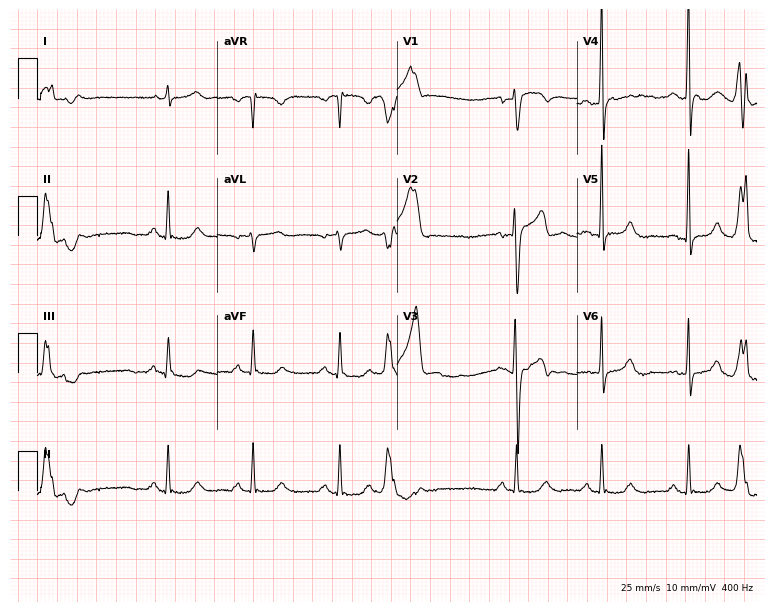
Standard 12-lead ECG recorded from a 47-year-old male patient. None of these six findings is recorded: first-degree AV block, right bundle branch block, left bundle branch block, sinus bradycardia, atrial fibrillation, sinus tachycardia. Other findings, if any, are not listed.